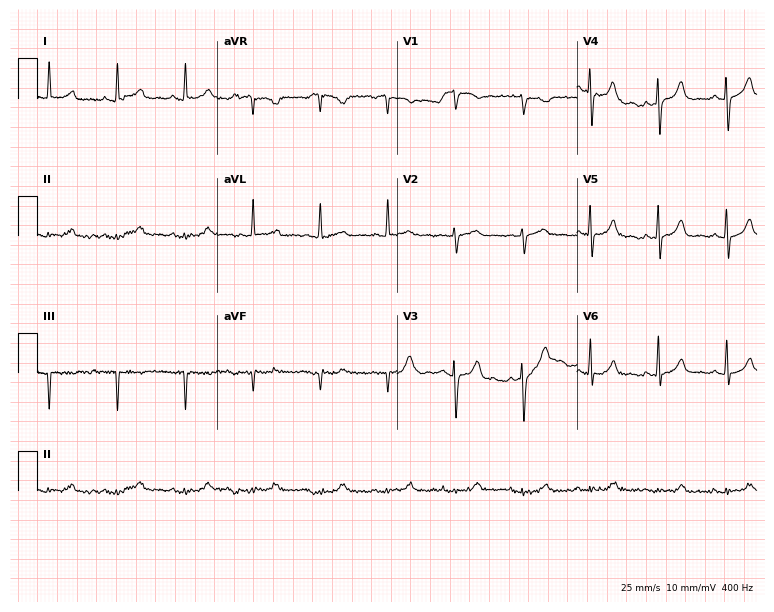
Resting 12-lead electrocardiogram (7.3-second recording at 400 Hz). Patient: a male, 85 years old. Read as a normal ECG.